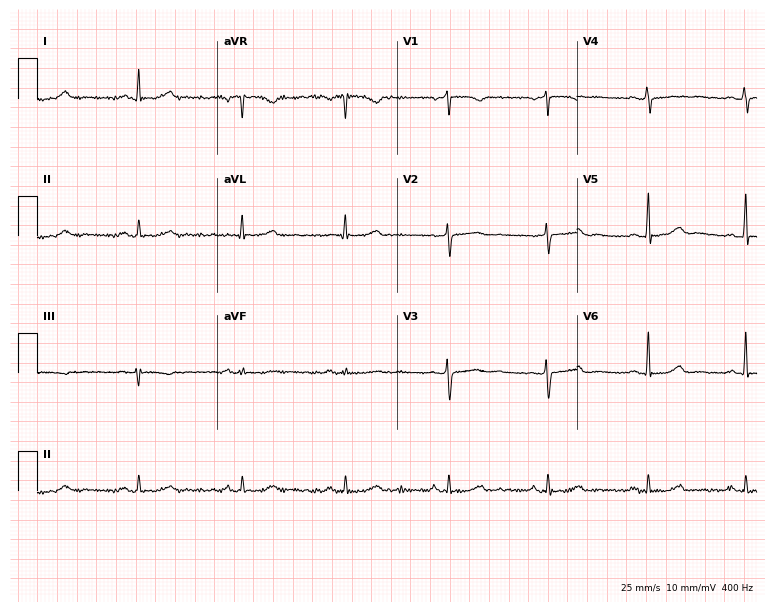
Electrocardiogram, a 56-year-old female patient. Overall reading on record: normal ECG.